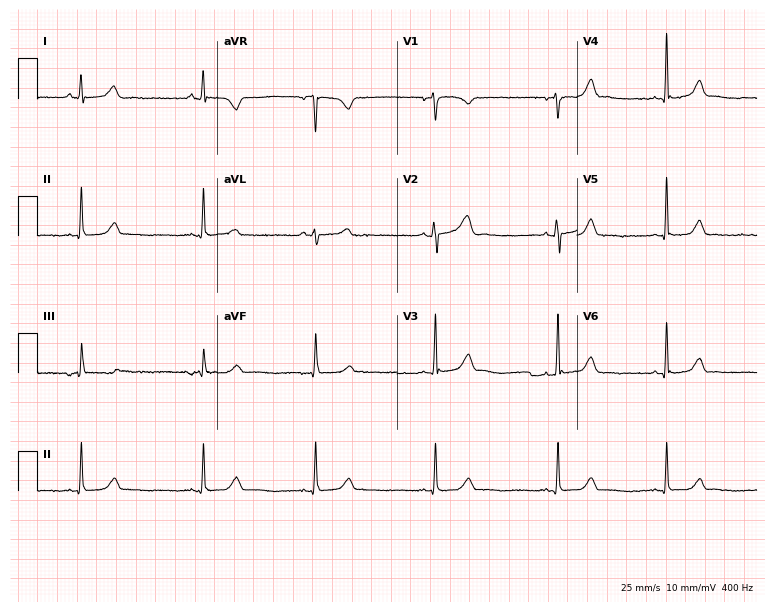
Electrocardiogram, a 27-year-old woman. Of the six screened findings (first-degree AV block, right bundle branch block (RBBB), left bundle branch block (LBBB), sinus bradycardia, atrial fibrillation (AF), sinus tachycardia), none is recorded. Only these six findings were labelled.